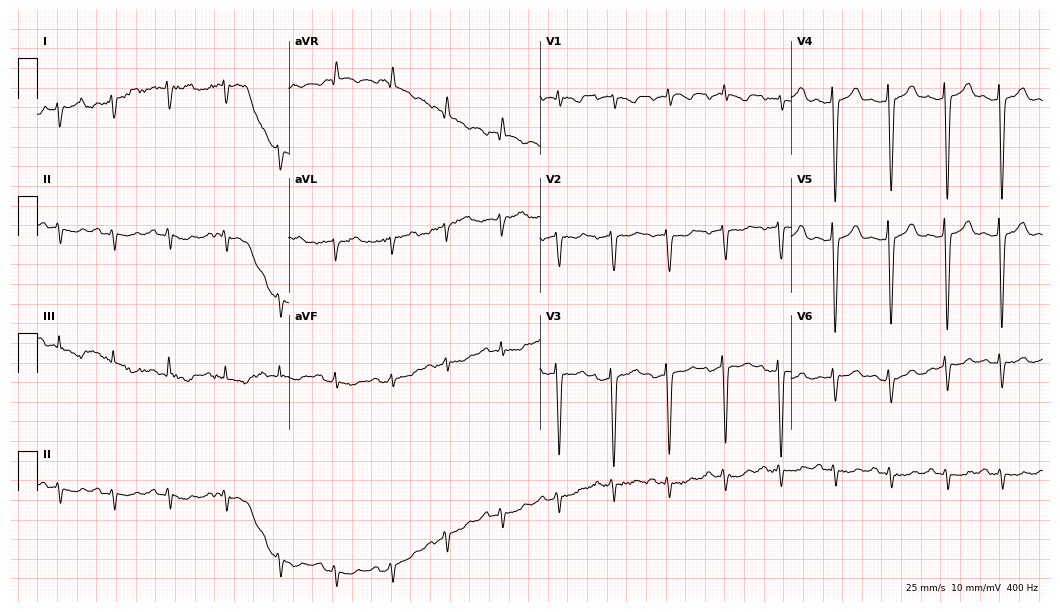
12-lead ECG from an 80-year-old man (10.2-second recording at 400 Hz). No first-degree AV block, right bundle branch block, left bundle branch block, sinus bradycardia, atrial fibrillation or sinus tachycardia recorded for this tracing.